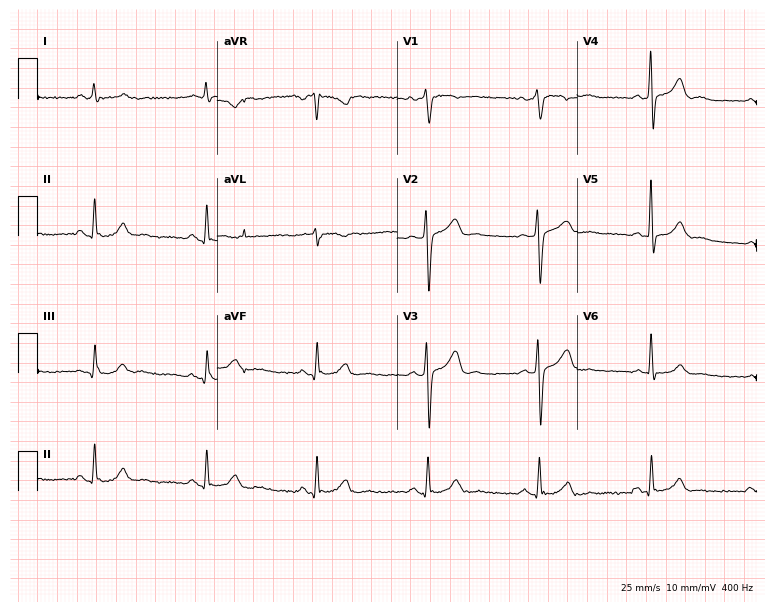
Resting 12-lead electrocardiogram. Patient: a 61-year-old male. None of these six findings is recorded: first-degree AV block, right bundle branch block, left bundle branch block, sinus bradycardia, atrial fibrillation, sinus tachycardia.